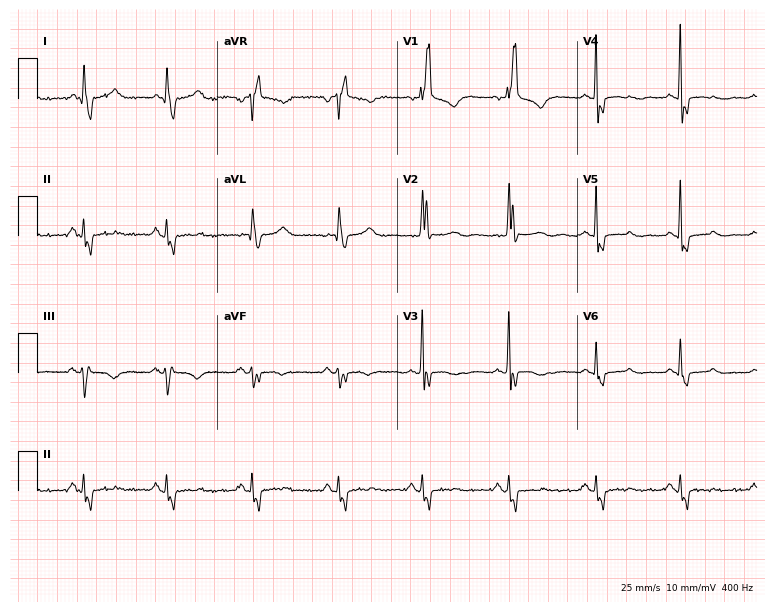
Resting 12-lead electrocardiogram (7.3-second recording at 400 Hz). Patient: a 74-year-old female. The tracing shows right bundle branch block.